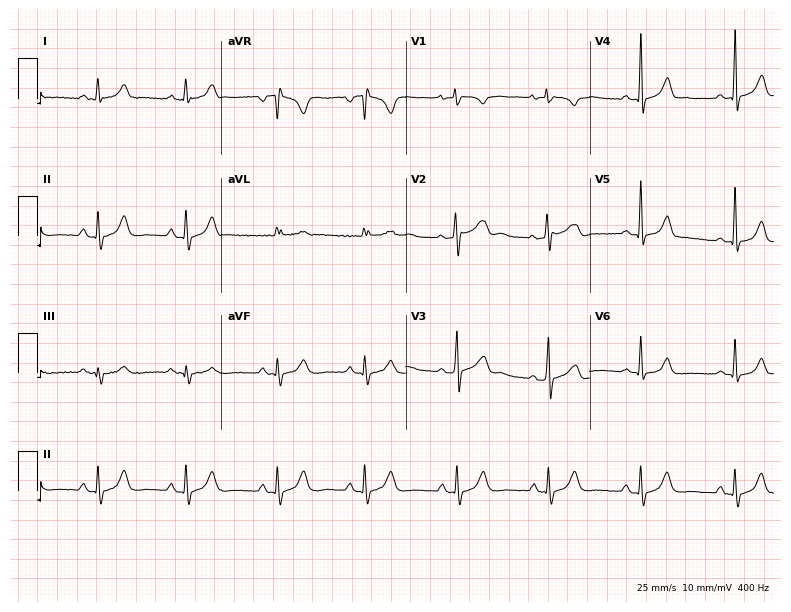
Standard 12-lead ECG recorded from a male, 30 years old. None of these six findings is recorded: first-degree AV block, right bundle branch block, left bundle branch block, sinus bradycardia, atrial fibrillation, sinus tachycardia.